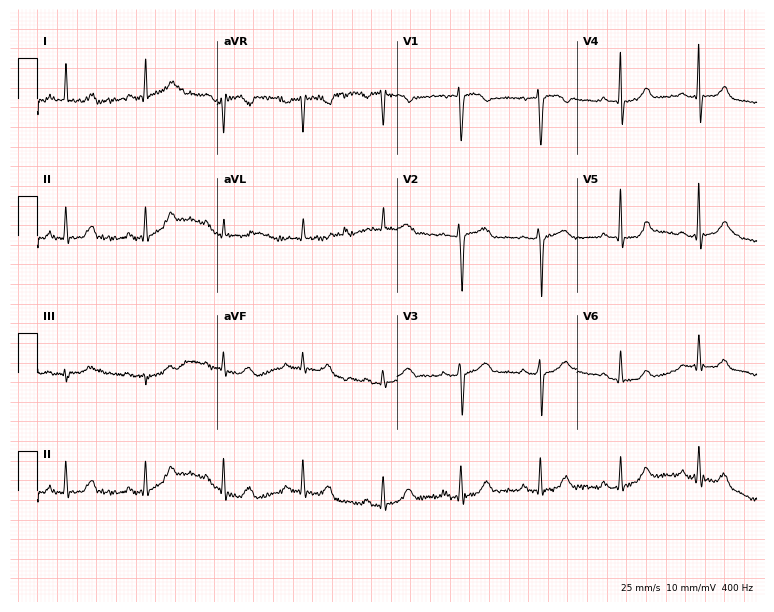
Standard 12-lead ECG recorded from a 66-year-old woman. Read as a normal ECG.